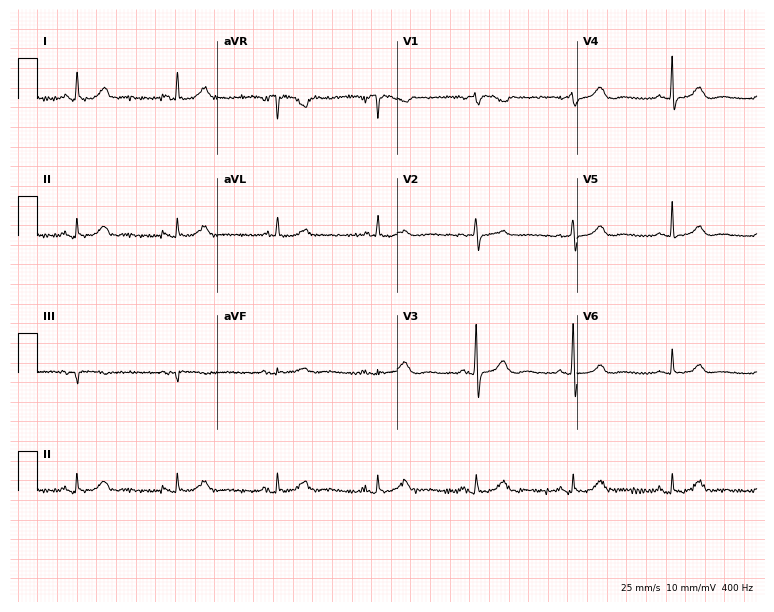
ECG (7.3-second recording at 400 Hz) — a 63-year-old woman. Screened for six findings — first-degree AV block, right bundle branch block (RBBB), left bundle branch block (LBBB), sinus bradycardia, atrial fibrillation (AF), sinus tachycardia — none is recorded.